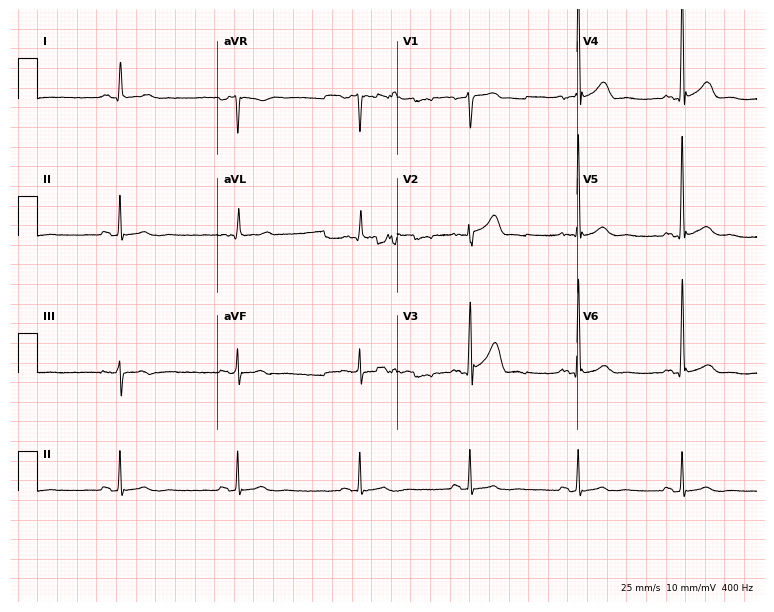
Standard 12-lead ECG recorded from a 67-year-old male. None of these six findings is recorded: first-degree AV block, right bundle branch block (RBBB), left bundle branch block (LBBB), sinus bradycardia, atrial fibrillation (AF), sinus tachycardia.